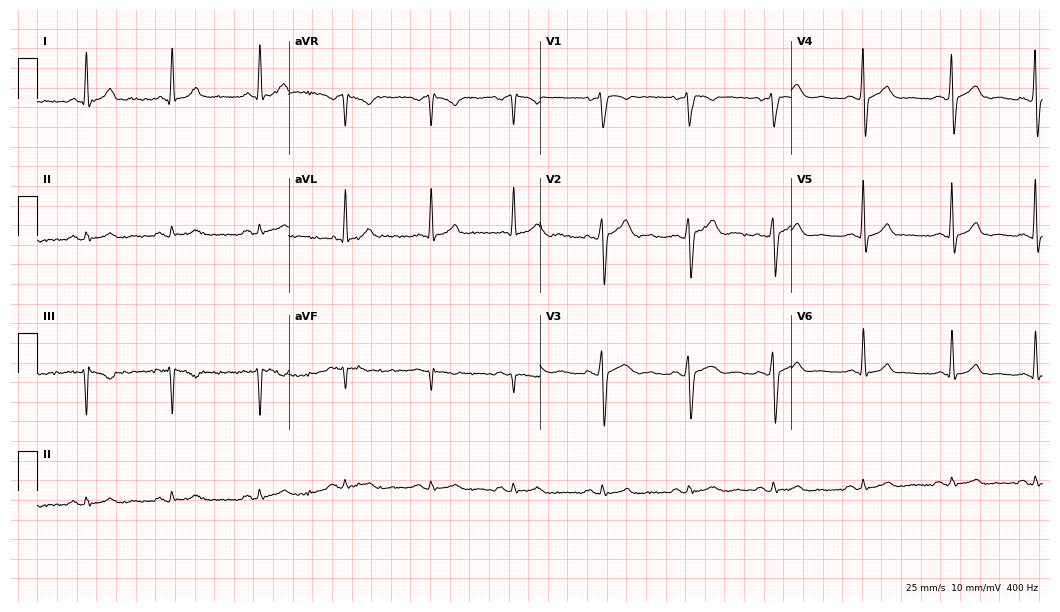
ECG — a 42-year-old male. Screened for six findings — first-degree AV block, right bundle branch block (RBBB), left bundle branch block (LBBB), sinus bradycardia, atrial fibrillation (AF), sinus tachycardia — none is recorded. Other findings, if any, are not listed.